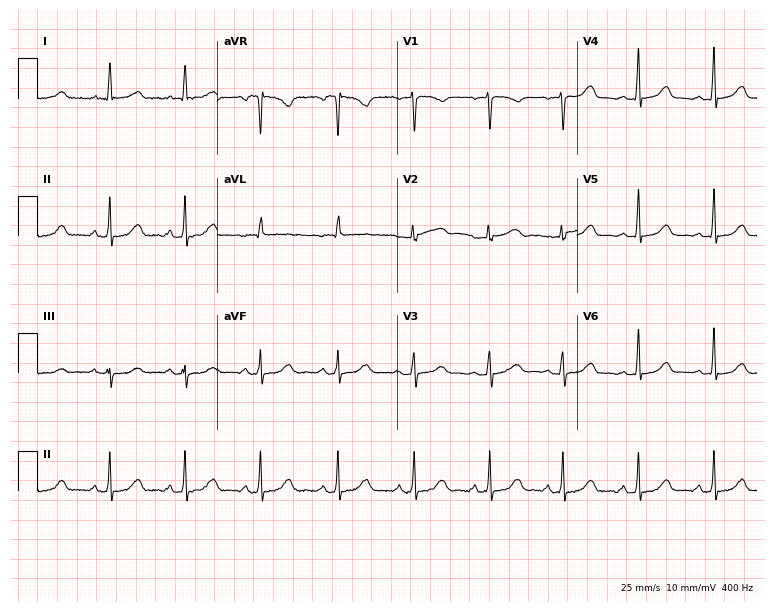
Resting 12-lead electrocardiogram. Patient: a 49-year-old female. Read as a normal ECG.